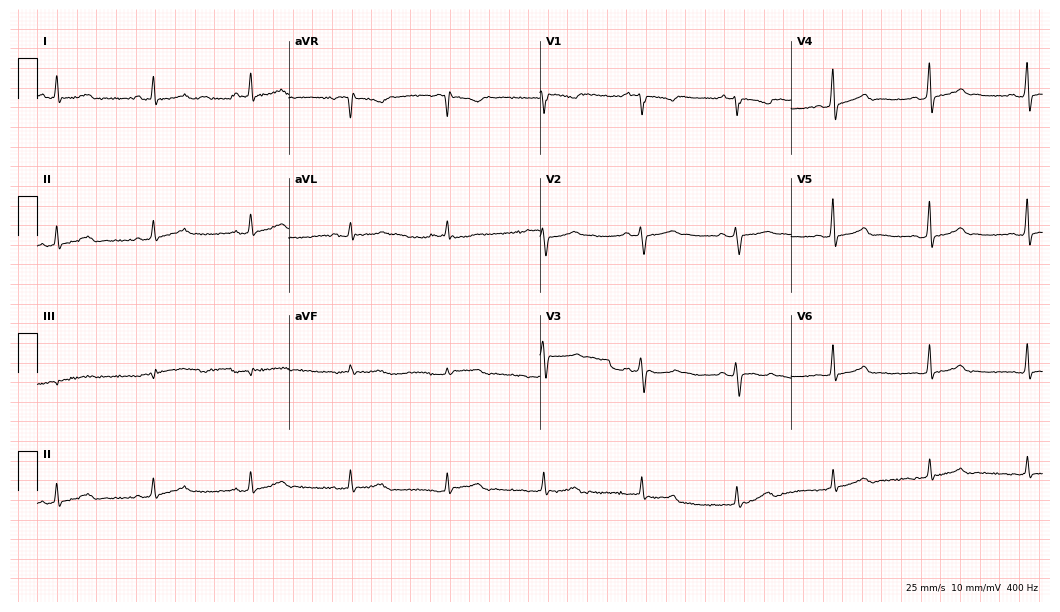
12-lead ECG (10.2-second recording at 400 Hz) from a male patient, 66 years old. Labelled as a normal ECG.